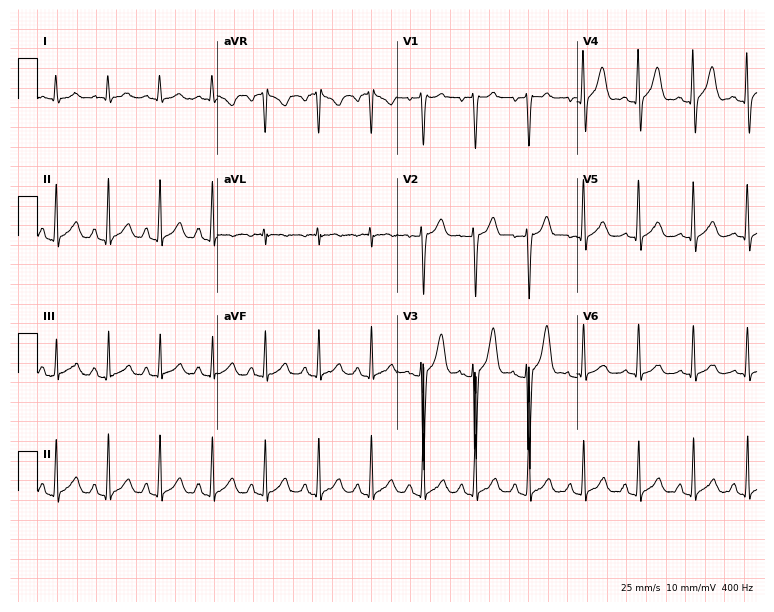
ECG (7.3-second recording at 400 Hz) — a male, 19 years old. Screened for six findings — first-degree AV block, right bundle branch block, left bundle branch block, sinus bradycardia, atrial fibrillation, sinus tachycardia — none is recorded. Other findings, if any, are not listed.